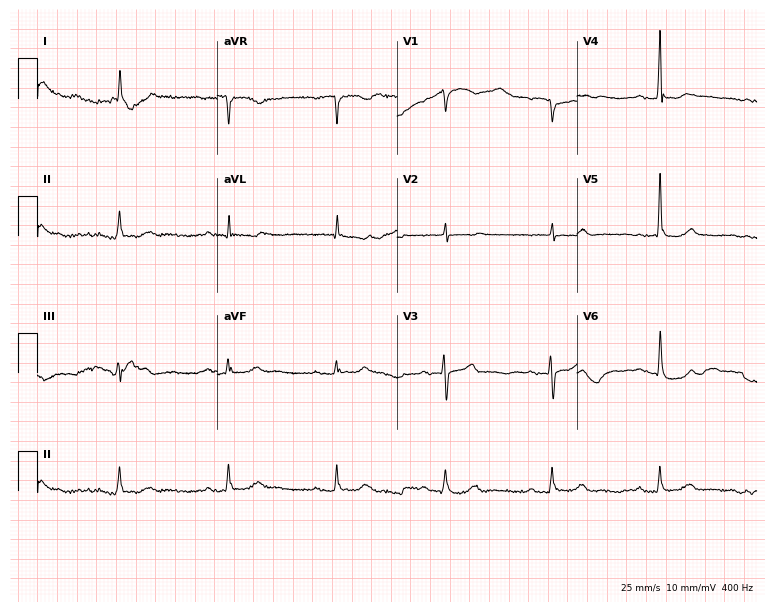
Resting 12-lead electrocardiogram. Patient: a male, 84 years old. None of these six findings is recorded: first-degree AV block, right bundle branch block, left bundle branch block, sinus bradycardia, atrial fibrillation, sinus tachycardia. Only these six findings were labelled.